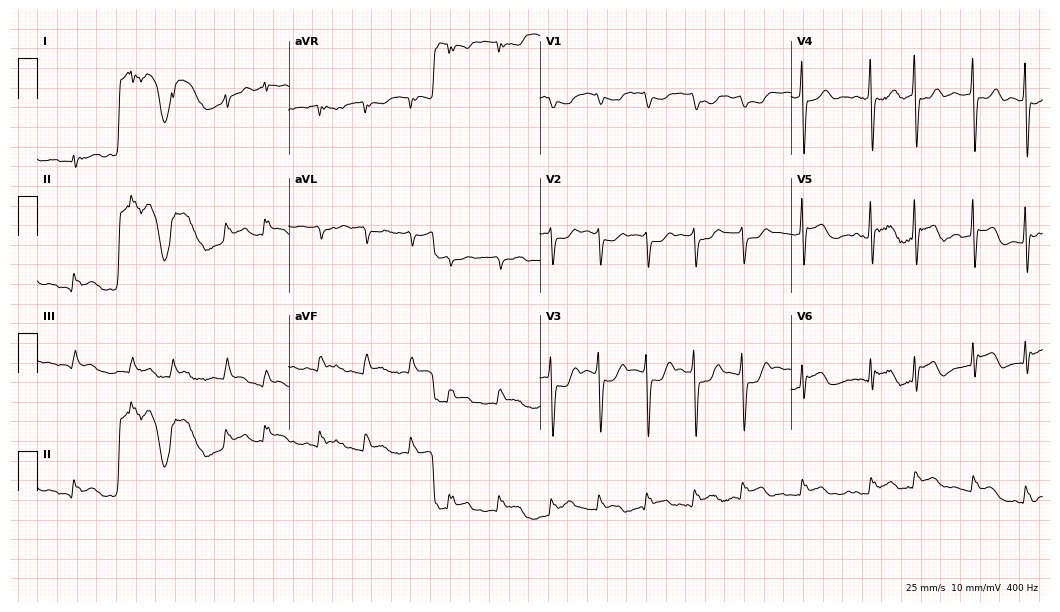
Electrocardiogram (10.2-second recording at 400 Hz), an 82-year-old male. Interpretation includes atrial fibrillation (AF).